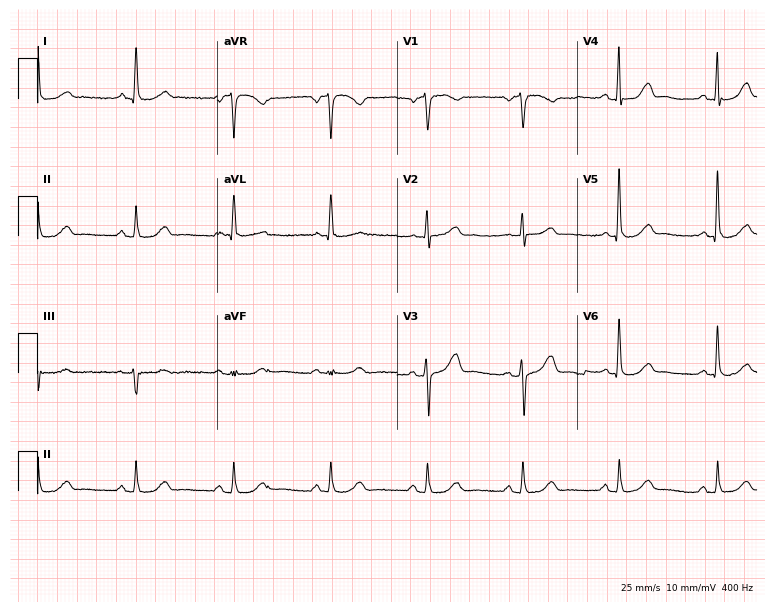
Resting 12-lead electrocardiogram. Patient: a 68-year-old female. None of these six findings is recorded: first-degree AV block, right bundle branch block, left bundle branch block, sinus bradycardia, atrial fibrillation, sinus tachycardia. Other findings, if any, are not listed.